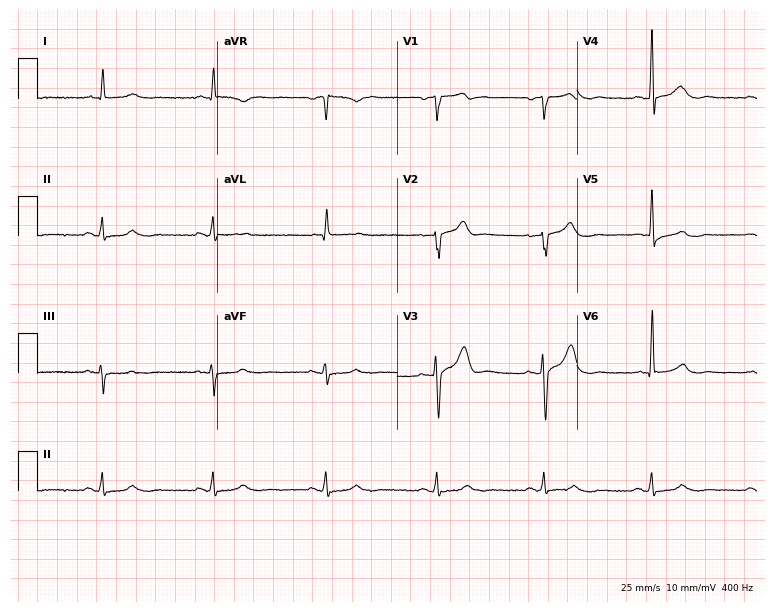
Standard 12-lead ECG recorded from a male, 61 years old (7.3-second recording at 400 Hz). Read as a normal ECG.